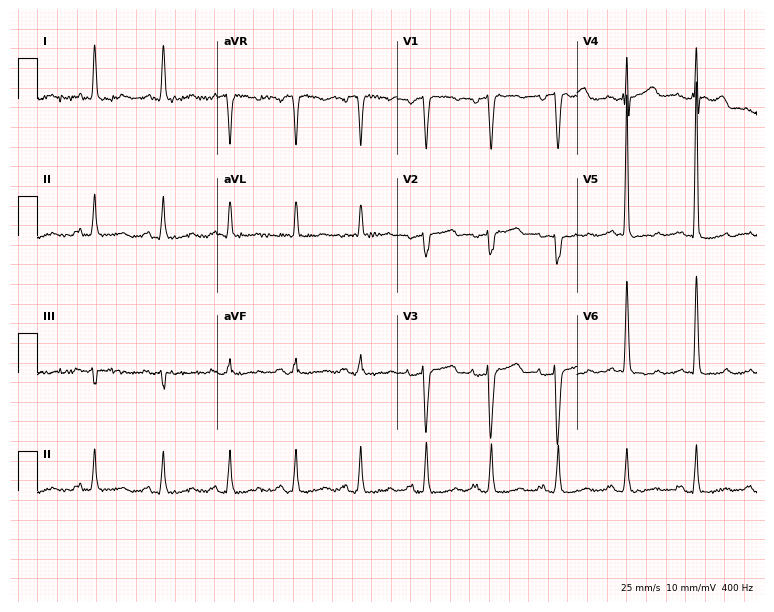
Resting 12-lead electrocardiogram. Patient: a 68-year-old woman. None of these six findings is recorded: first-degree AV block, right bundle branch block, left bundle branch block, sinus bradycardia, atrial fibrillation, sinus tachycardia.